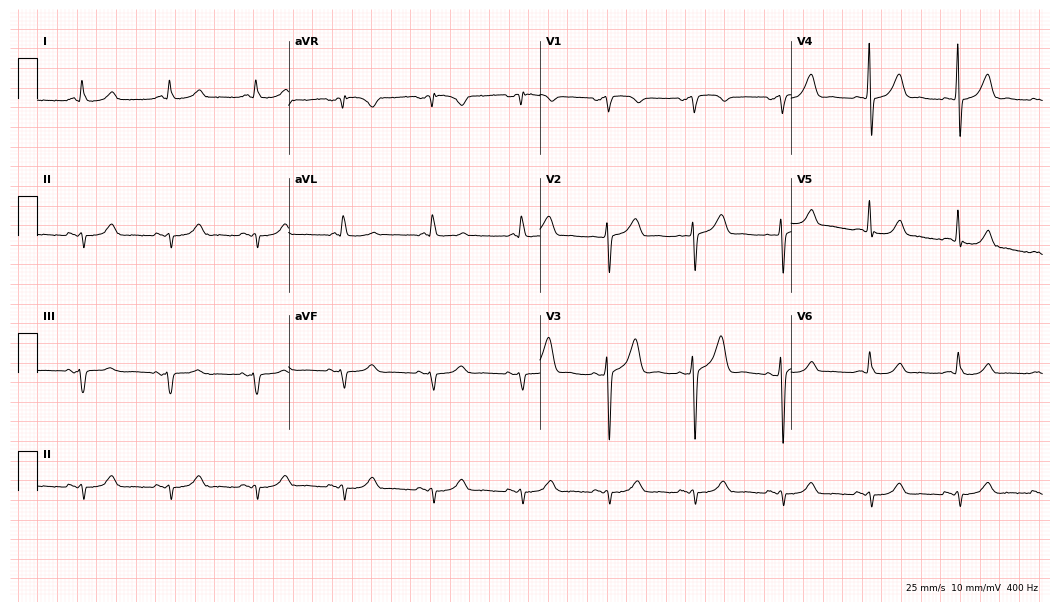
Standard 12-lead ECG recorded from a 64-year-old male patient. None of these six findings is recorded: first-degree AV block, right bundle branch block, left bundle branch block, sinus bradycardia, atrial fibrillation, sinus tachycardia. Findings outside these six are not listed.